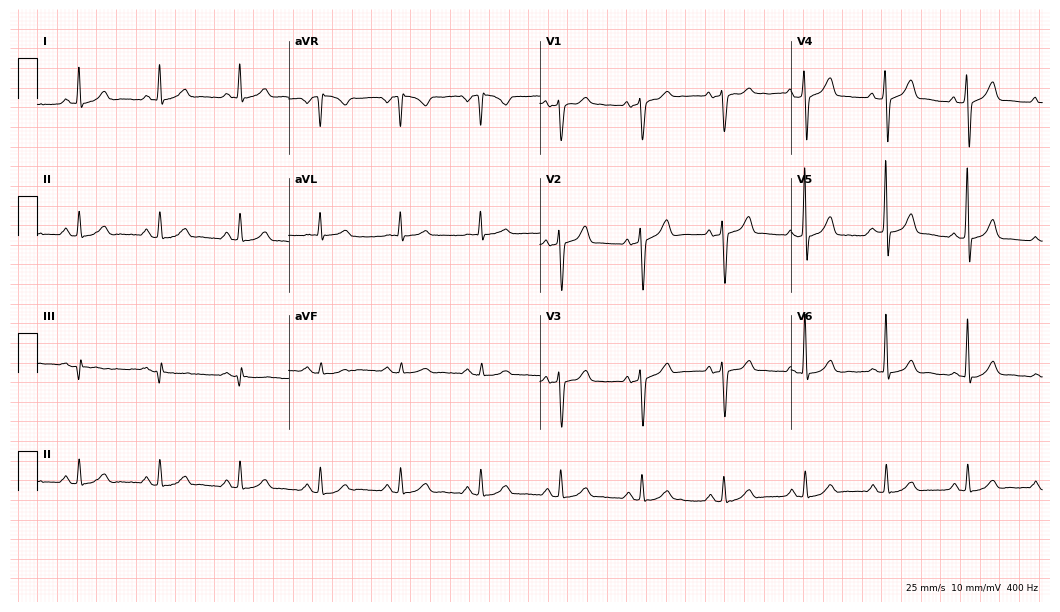
Resting 12-lead electrocardiogram (10.2-second recording at 400 Hz). Patient: a man, 59 years old. Read as a normal ECG.